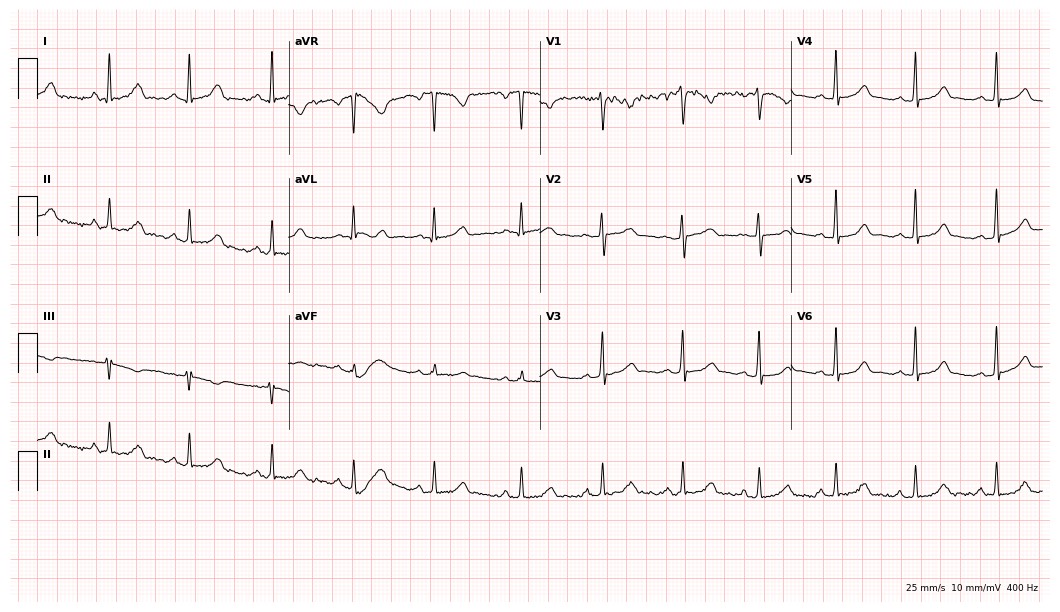
12-lead ECG from a 25-year-old female. Labelled as a normal ECG.